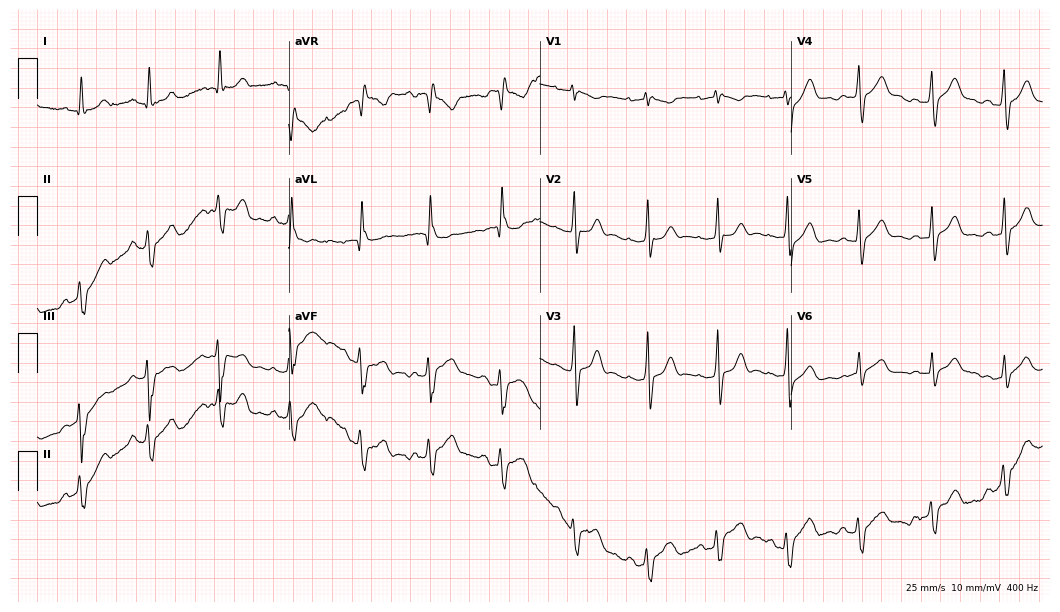
Electrocardiogram, a 25-year-old female. Of the six screened findings (first-degree AV block, right bundle branch block, left bundle branch block, sinus bradycardia, atrial fibrillation, sinus tachycardia), none is recorded. Only these six findings were labelled.